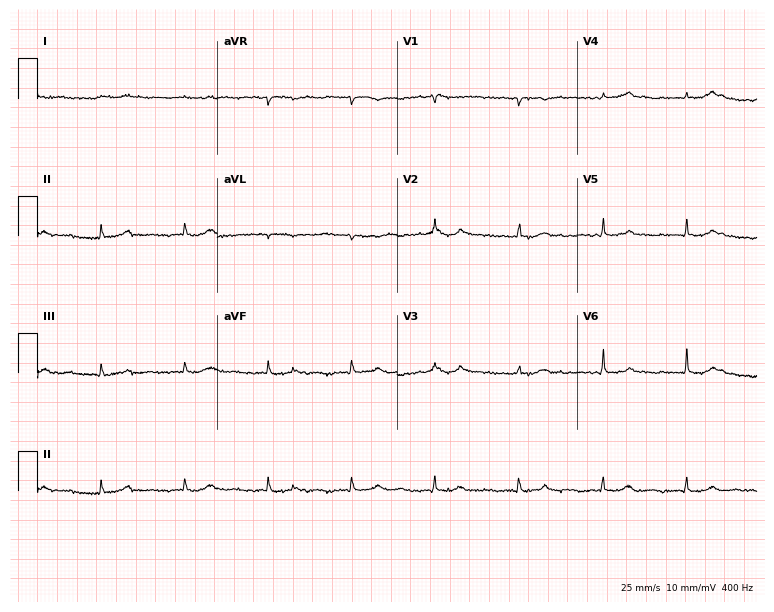
Standard 12-lead ECG recorded from an 83-year-old female. None of these six findings is recorded: first-degree AV block, right bundle branch block, left bundle branch block, sinus bradycardia, atrial fibrillation, sinus tachycardia. Other findings, if any, are not listed.